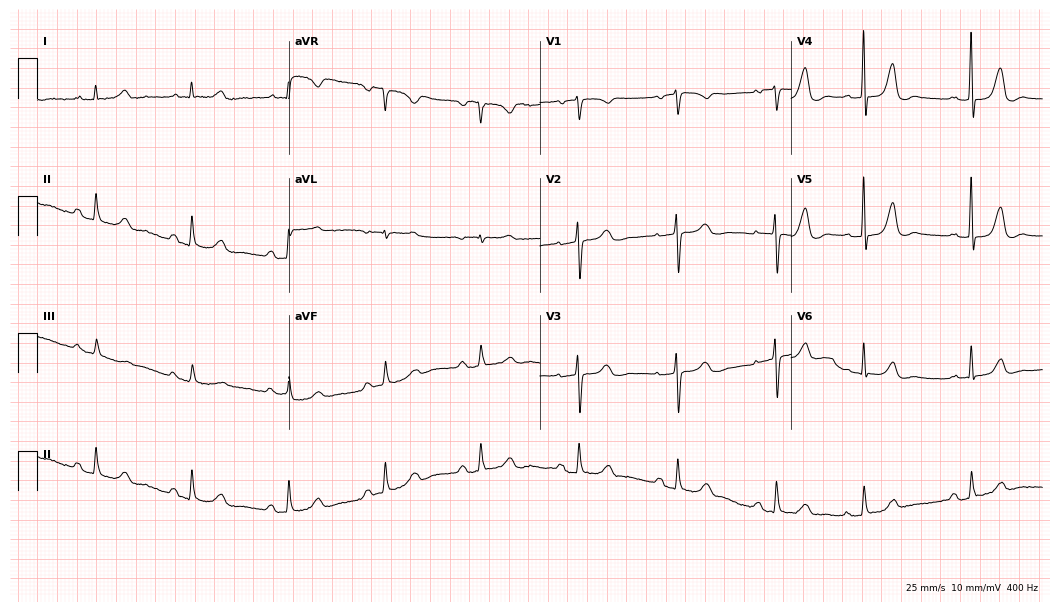
12-lead ECG from a female patient, 76 years old (10.2-second recording at 400 Hz). Recorded interpretation: within normal limits.